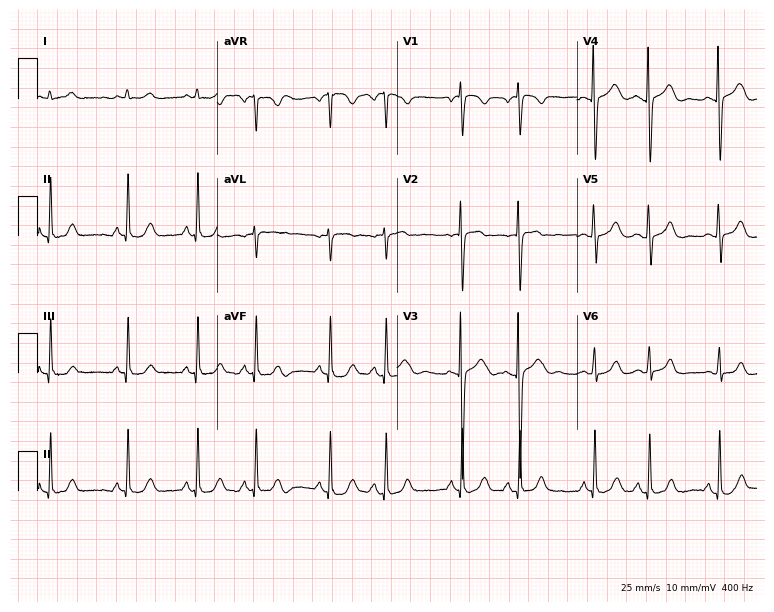
Electrocardiogram, a 33-year-old female. Overall reading on record: normal ECG.